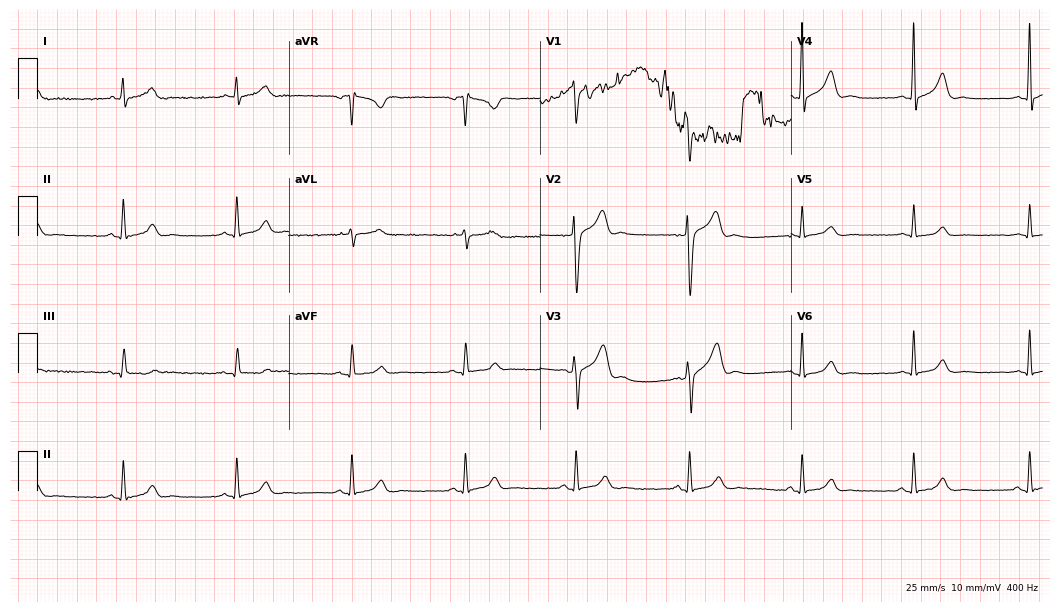
Electrocardiogram, a 33-year-old male patient. Overall reading on record: normal ECG.